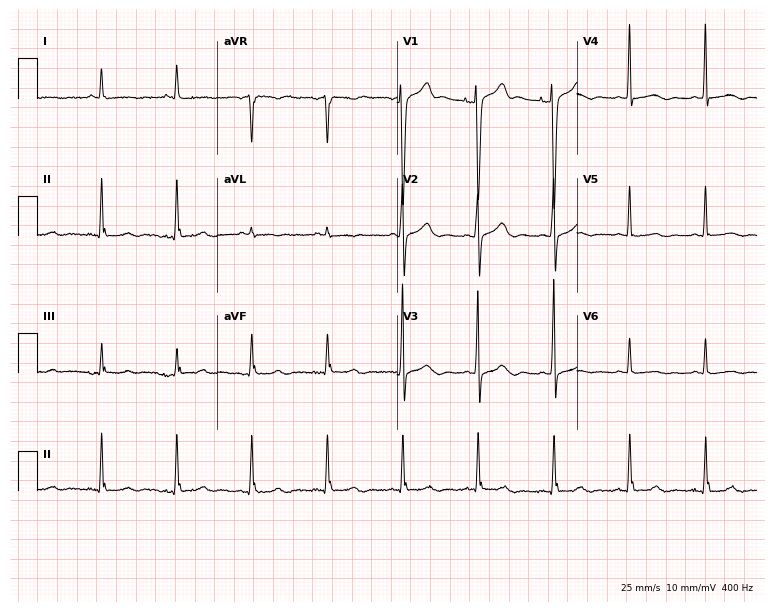
12-lead ECG (7.3-second recording at 400 Hz) from a 71-year-old man. Screened for six findings — first-degree AV block, right bundle branch block, left bundle branch block, sinus bradycardia, atrial fibrillation, sinus tachycardia — none is recorded. Other findings, if any, are not listed.